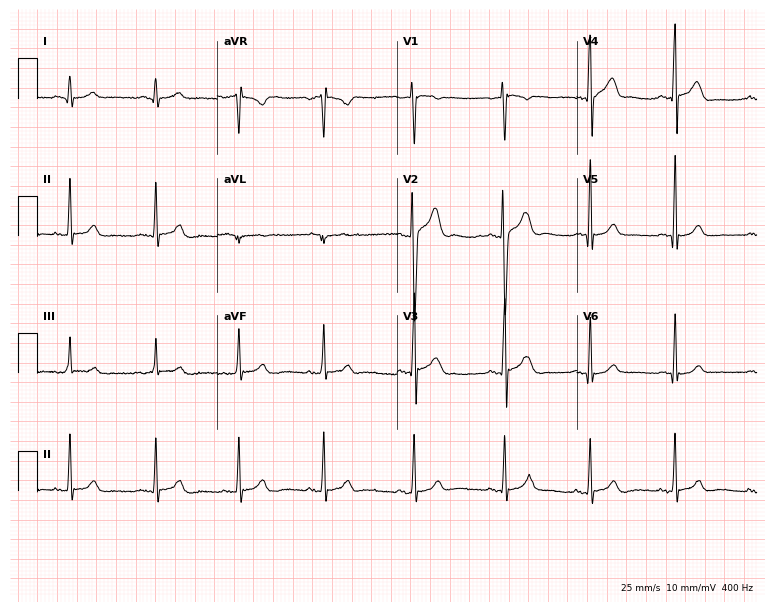
12-lead ECG (7.3-second recording at 400 Hz) from a 25-year-old male patient. Screened for six findings — first-degree AV block, right bundle branch block (RBBB), left bundle branch block (LBBB), sinus bradycardia, atrial fibrillation (AF), sinus tachycardia — none is recorded. Only these six findings were labelled.